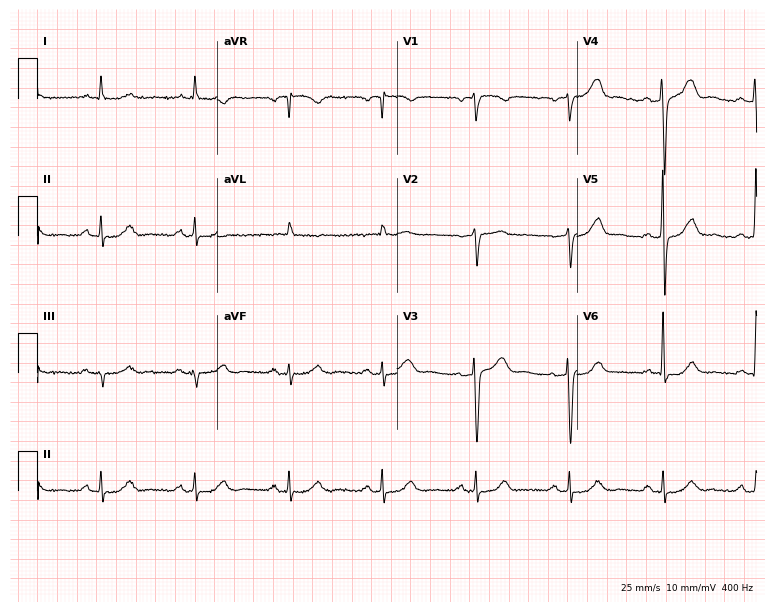
12-lead ECG (7.3-second recording at 400 Hz) from a 69-year-old male. Labelled as a normal ECG.